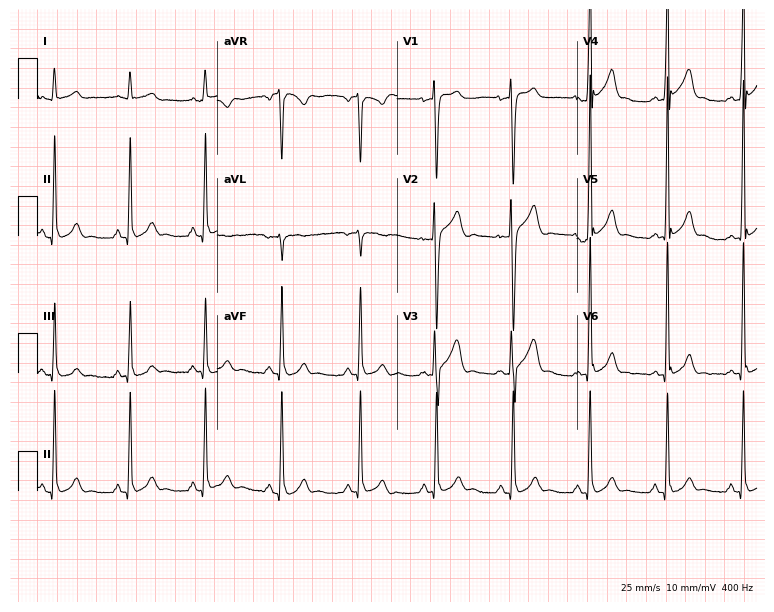
Electrocardiogram (7.3-second recording at 400 Hz), a male, 38 years old. Of the six screened findings (first-degree AV block, right bundle branch block, left bundle branch block, sinus bradycardia, atrial fibrillation, sinus tachycardia), none is recorded.